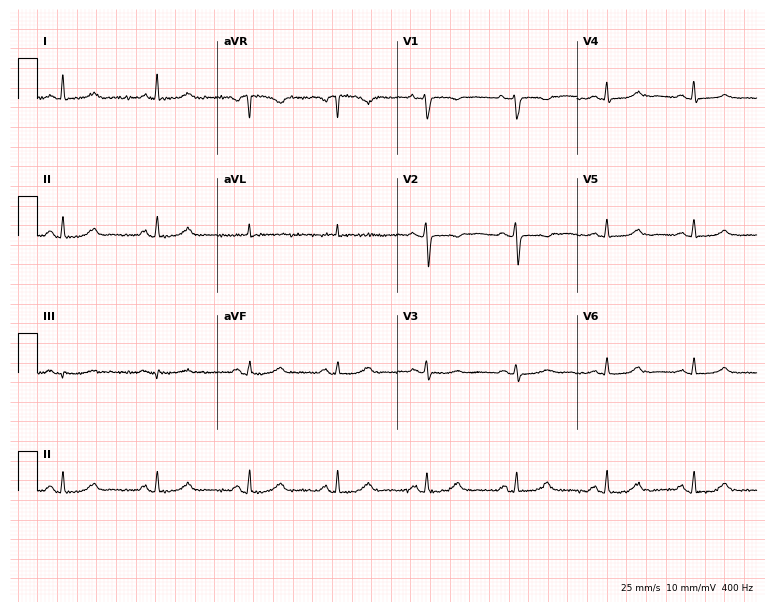
ECG (7.3-second recording at 400 Hz) — a 58-year-old female. Screened for six findings — first-degree AV block, right bundle branch block, left bundle branch block, sinus bradycardia, atrial fibrillation, sinus tachycardia — none is recorded. Findings outside these six are not listed.